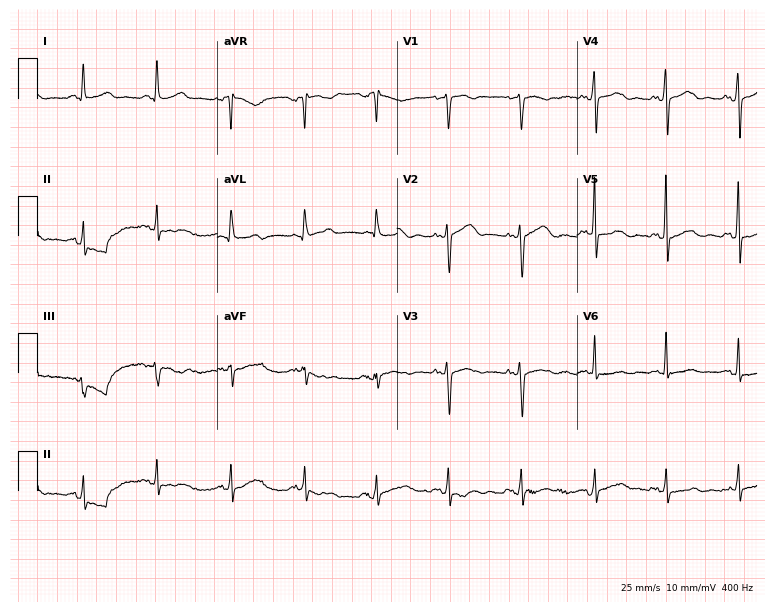
Resting 12-lead electrocardiogram (7.3-second recording at 400 Hz). Patient: a 54-year-old female. Read as a normal ECG.